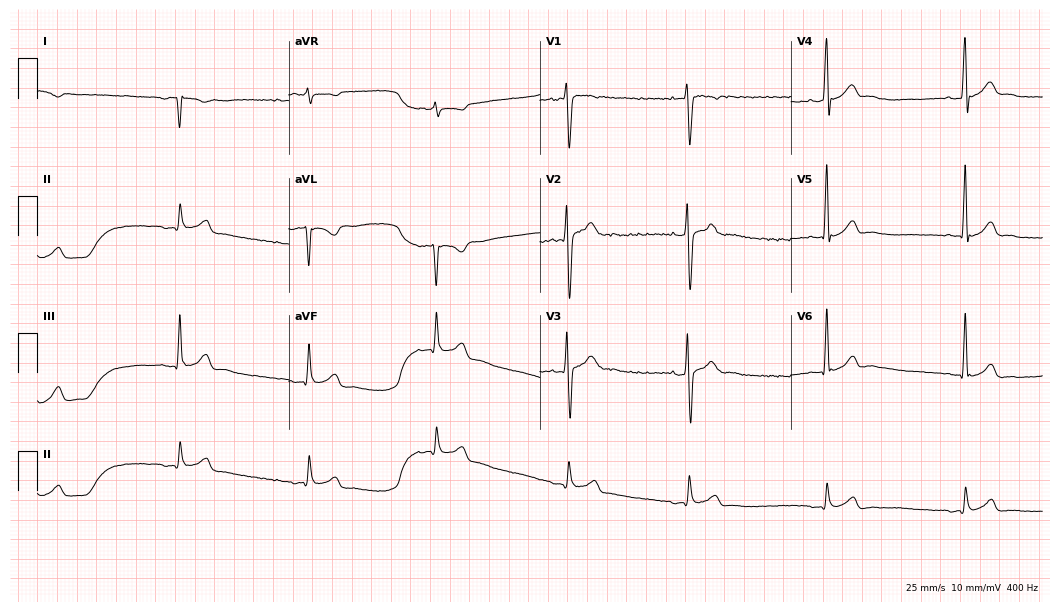
12-lead ECG (10.2-second recording at 400 Hz) from a 21-year-old male. Screened for six findings — first-degree AV block, right bundle branch block, left bundle branch block, sinus bradycardia, atrial fibrillation, sinus tachycardia — none is recorded. Only these six findings were labelled.